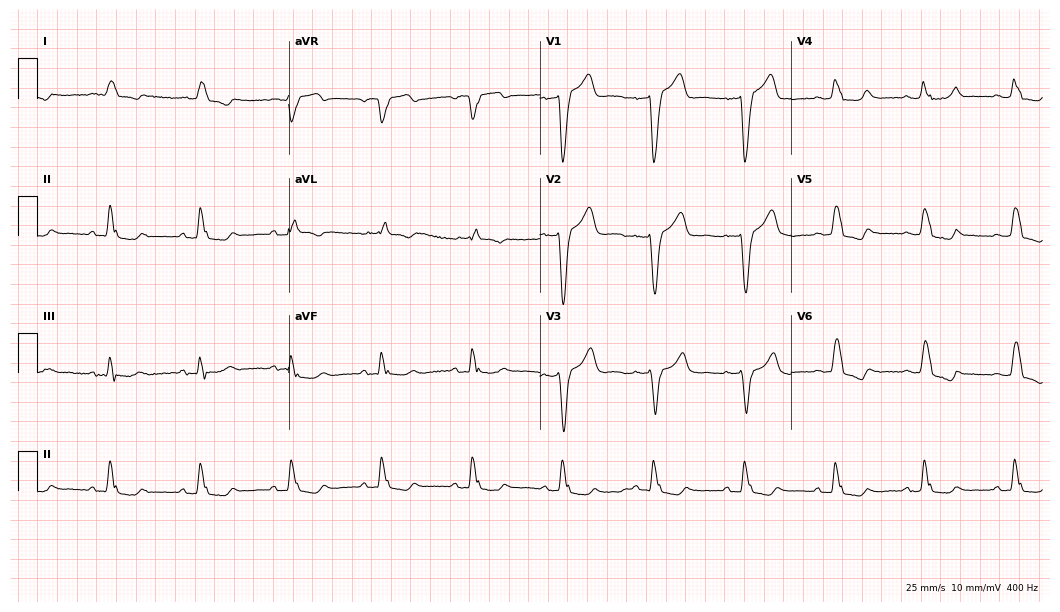
ECG (10.2-second recording at 400 Hz) — a 75-year-old male patient. Screened for six findings — first-degree AV block, right bundle branch block, left bundle branch block, sinus bradycardia, atrial fibrillation, sinus tachycardia — none is recorded. Findings outside these six are not listed.